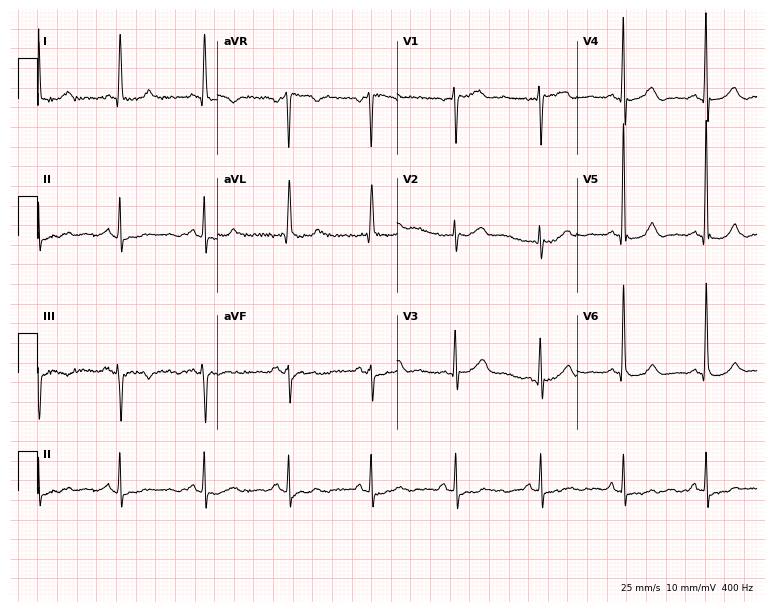
12-lead ECG from a 76-year-old woman (7.3-second recording at 400 Hz). No first-degree AV block, right bundle branch block, left bundle branch block, sinus bradycardia, atrial fibrillation or sinus tachycardia recorded for this tracing.